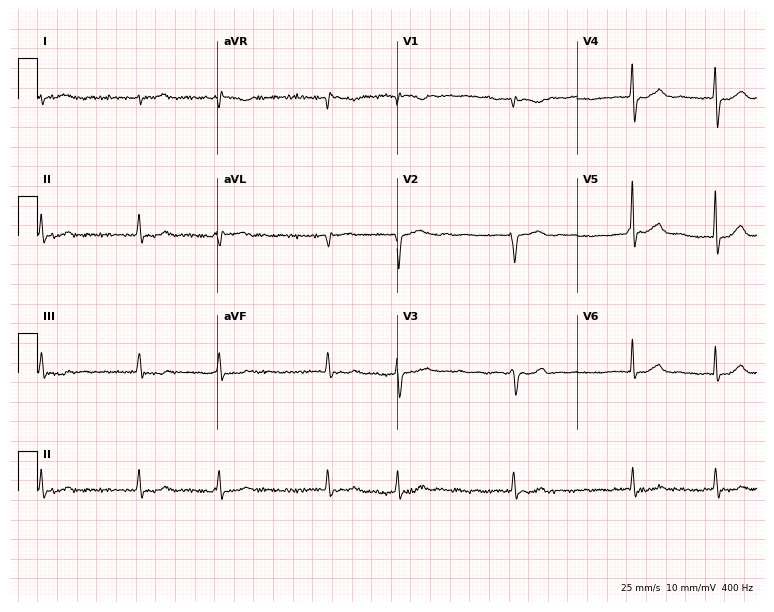
ECG (7.3-second recording at 400 Hz) — a female, 72 years old. Findings include atrial fibrillation (AF).